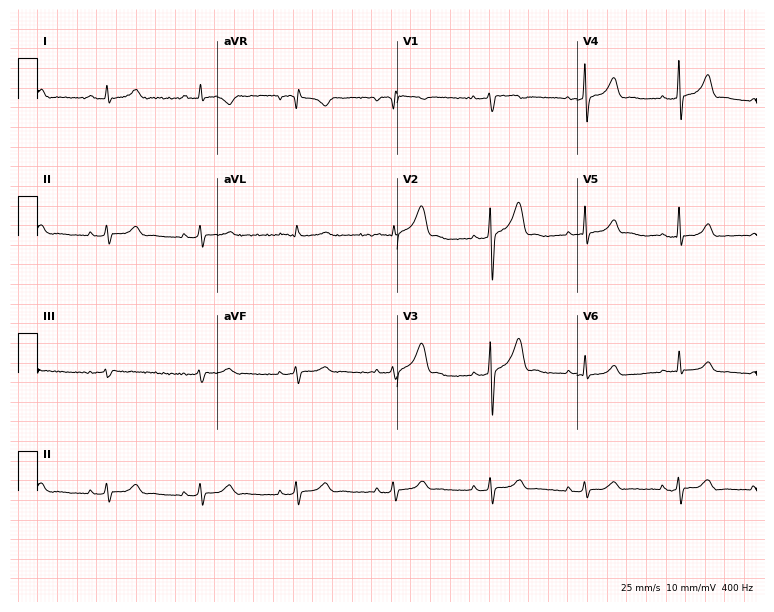
Resting 12-lead electrocardiogram. Patient: a man, 43 years old. None of these six findings is recorded: first-degree AV block, right bundle branch block, left bundle branch block, sinus bradycardia, atrial fibrillation, sinus tachycardia.